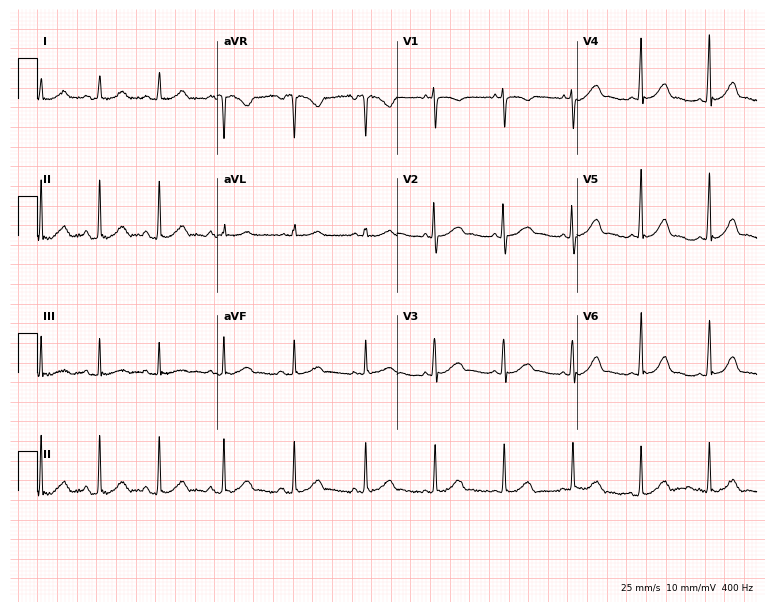
Standard 12-lead ECG recorded from a 21-year-old woman. Read as a normal ECG.